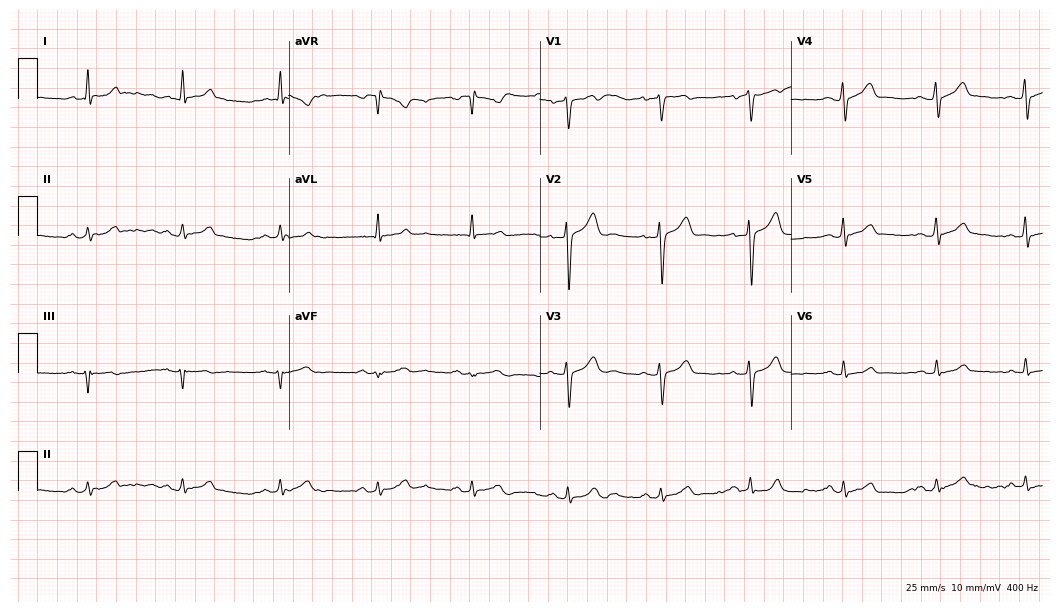
Electrocardiogram (10.2-second recording at 400 Hz), a male, 36 years old. Overall reading on record: normal ECG.